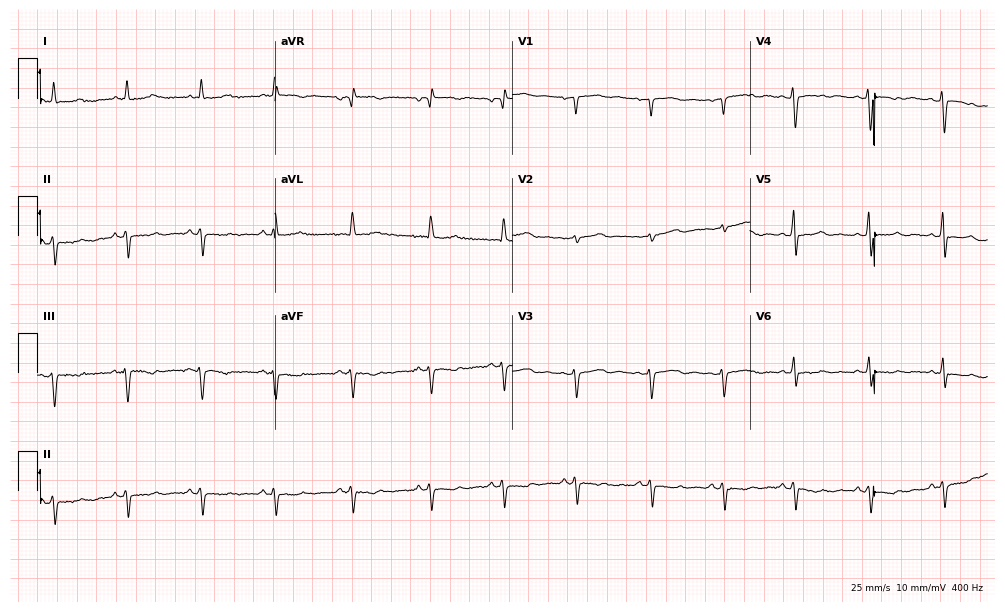
Electrocardiogram (9.7-second recording at 400 Hz), a female patient, 49 years old. Of the six screened findings (first-degree AV block, right bundle branch block, left bundle branch block, sinus bradycardia, atrial fibrillation, sinus tachycardia), none is recorded. Only these six findings were labelled.